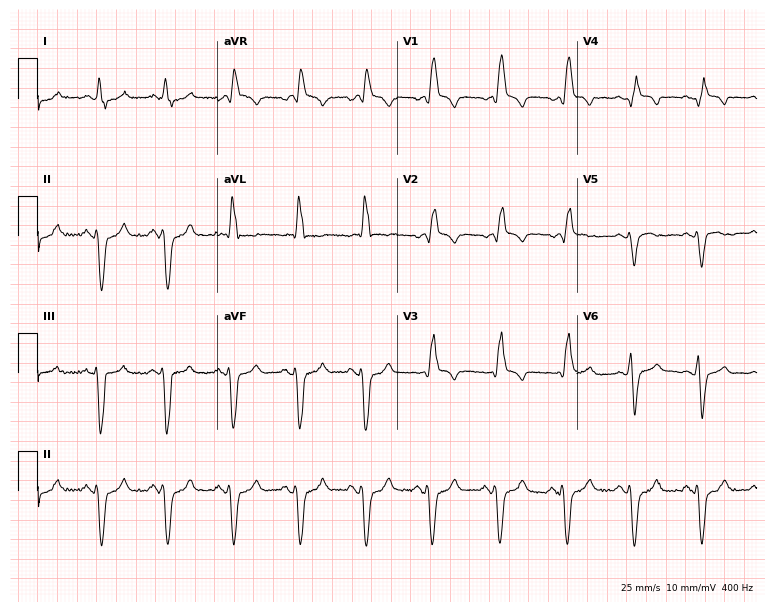
Electrocardiogram, a man, 80 years old. Interpretation includes right bundle branch block.